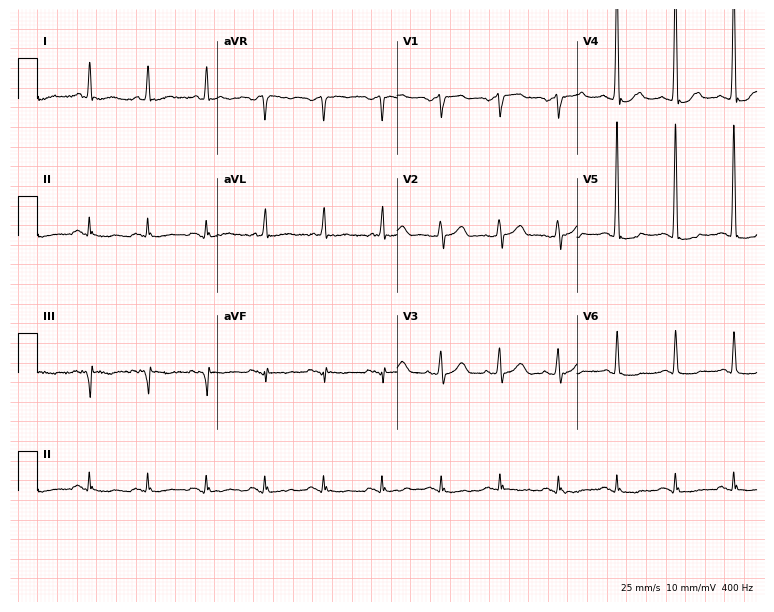
12-lead ECG (7.3-second recording at 400 Hz) from a 67-year-old man. Screened for six findings — first-degree AV block, right bundle branch block, left bundle branch block, sinus bradycardia, atrial fibrillation, sinus tachycardia — none is recorded.